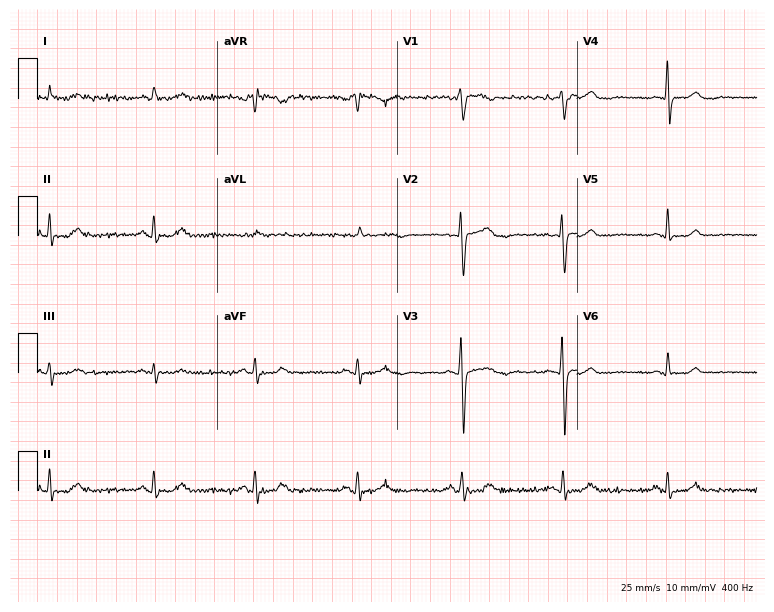
Resting 12-lead electrocardiogram (7.3-second recording at 400 Hz). Patient: a 53-year-old female. None of these six findings is recorded: first-degree AV block, right bundle branch block, left bundle branch block, sinus bradycardia, atrial fibrillation, sinus tachycardia.